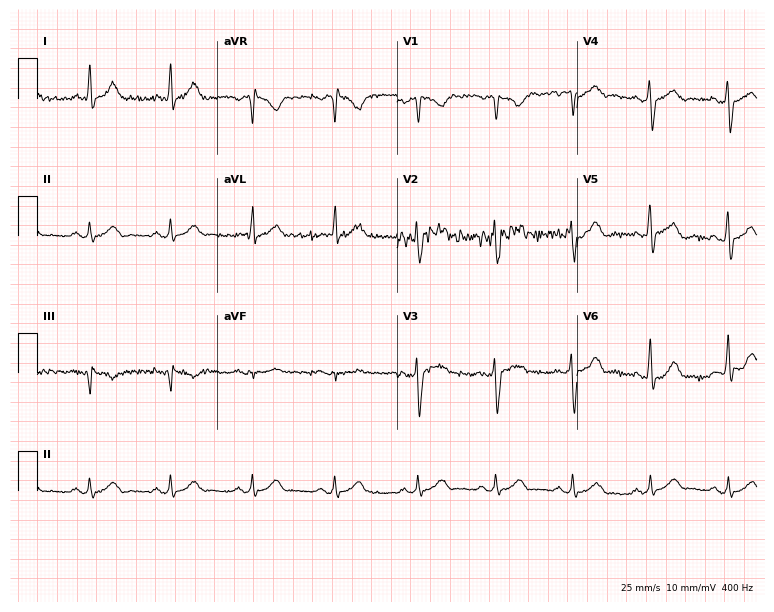
Resting 12-lead electrocardiogram (7.3-second recording at 400 Hz). Patient: a male, 40 years old. None of these six findings is recorded: first-degree AV block, right bundle branch block, left bundle branch block, sinus bradycardia, atrial fibrillation, sinus tachycardia. Other findings, if any, are not listed.